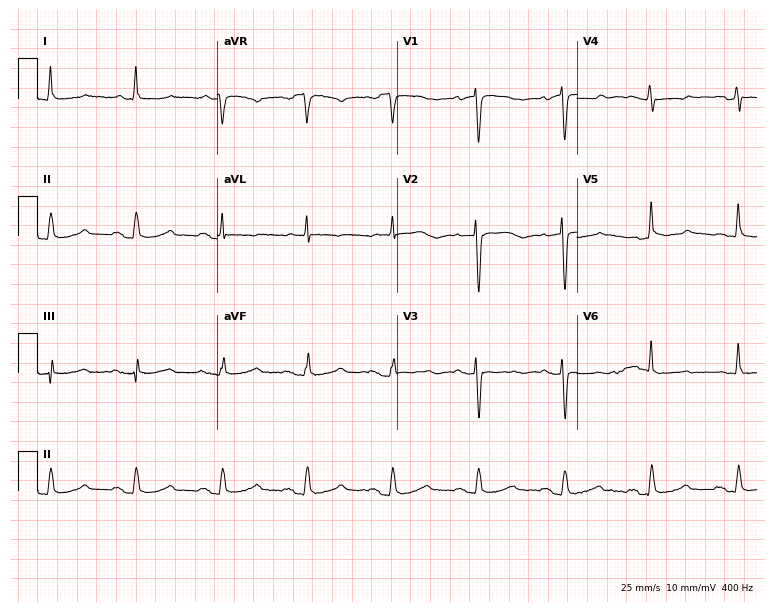
ECG — a female patient, 69 years old. Screened for six findings — first-degree AV block, right bundle branch block, left bundle branch block, sinus bradycardia, atrial fibrillation, sinus tachycardia — none is recorded. Only these six findings were labelled.